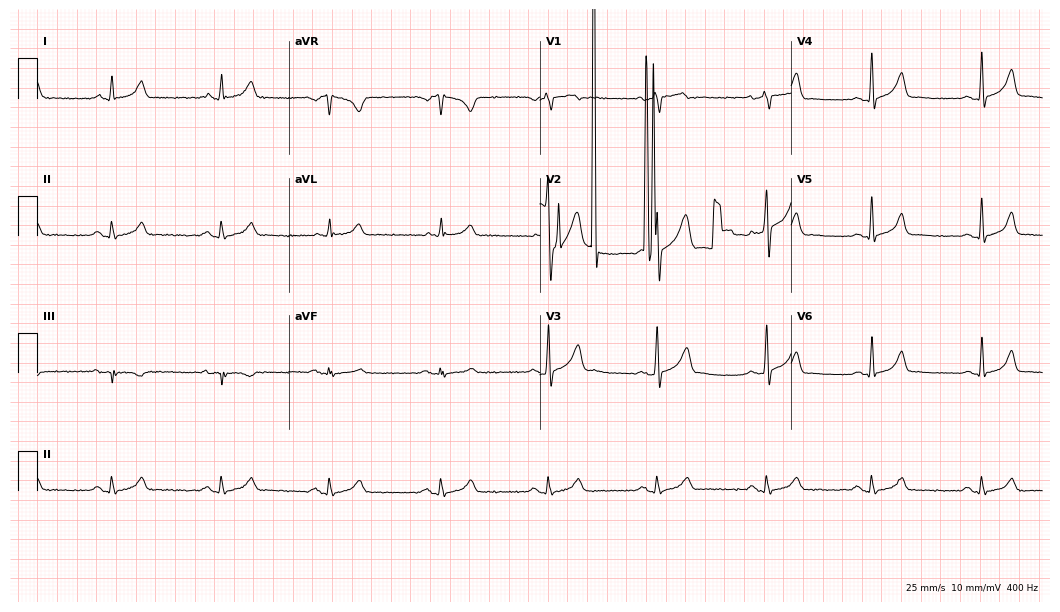
Resting 12-lead electrocardiogram. Patient: a 42-year-old male. None of these six findings is recorded: first-degree AV block, right bundle branch block, left bundle branch block, sinus bradycardia, atrial fibrillation, sinus tachycardia.